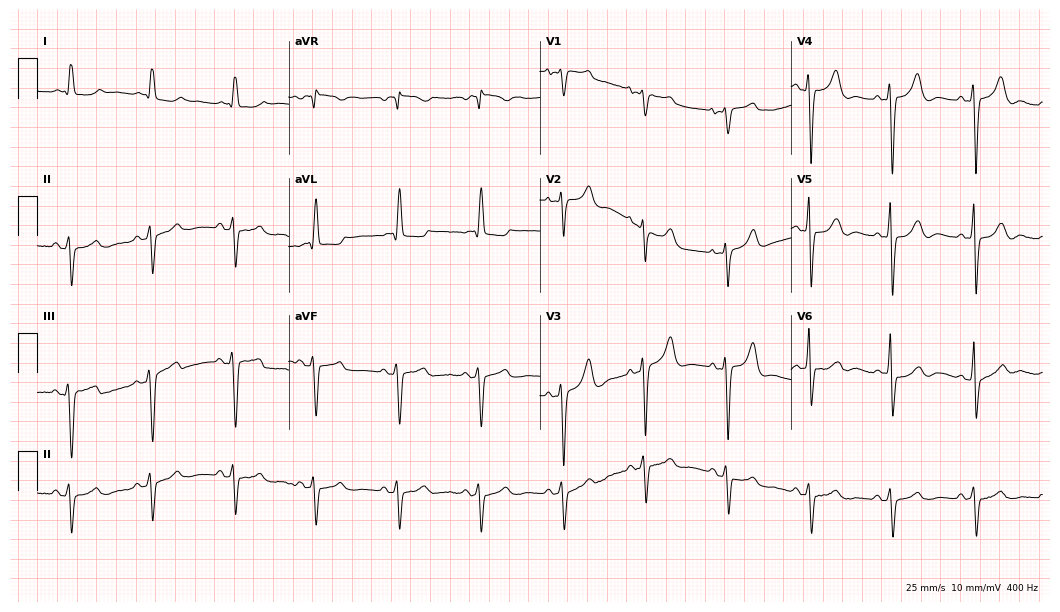
12-lead ECG from a female, 85 years old (10.2-second recording at 400 Hz). No first-degree AV block, right bundle branch block, left bundle branch block, sinus bradycardia, atrial fibrillation or sinus tachycardia recorded for this tracing.